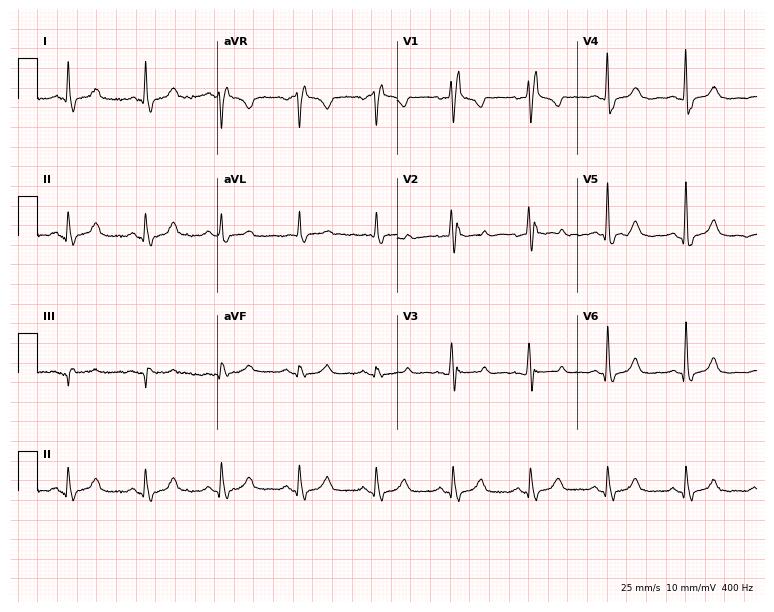
Resting 12-lead electrocardiogram. Patient: a female, 60 years old. The tracing shows right bundle branch block.